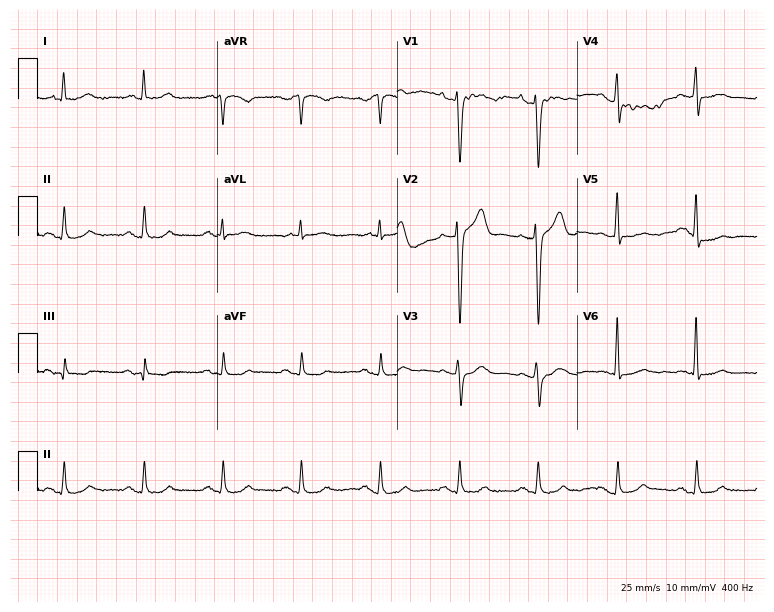
12-lead ECG from an 80-year-old man. No first-degree AV block, right bundle branch block (RBBB), left bundle branch block (LBBB), sinus bradycardia, atrial fibrillation (AF) or sinus tachycardia recorded for this tracing. Findings outside these six are not listed.